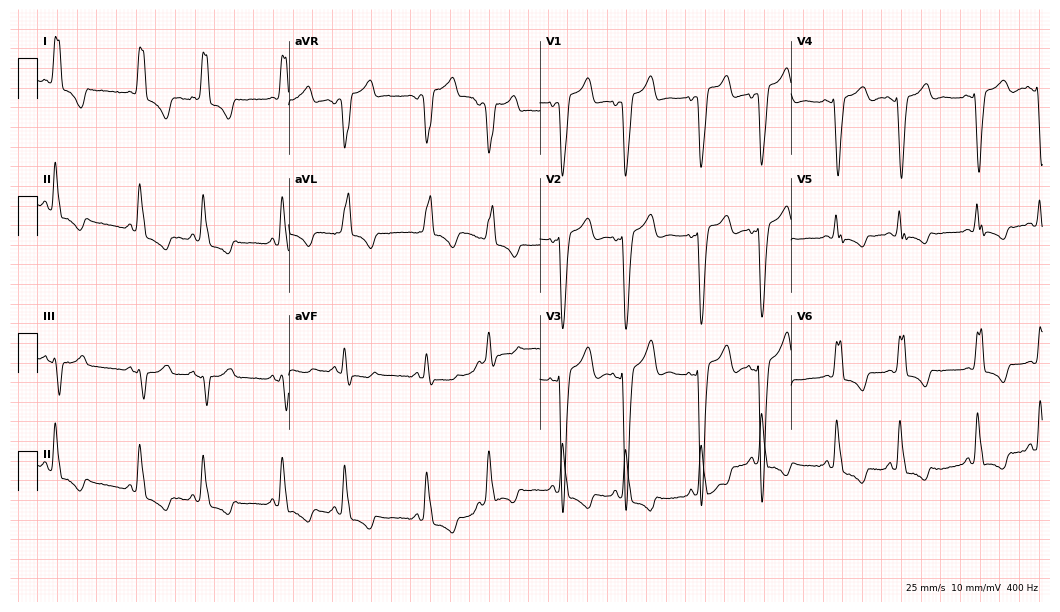
12-lead ECG from a 67-year-old female patient. Shows left bundle branch block (LBBB).